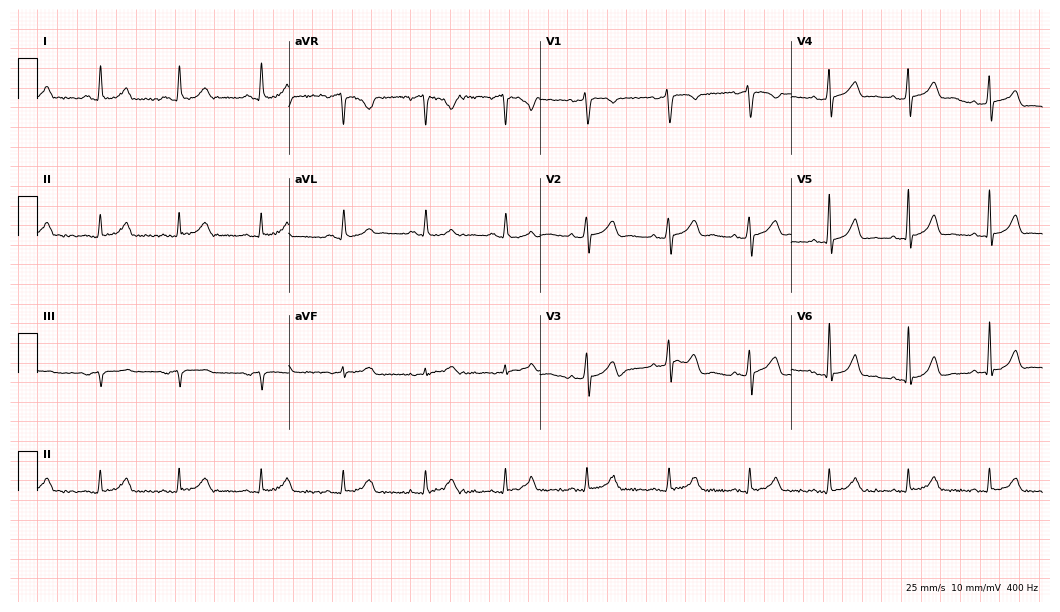
Electrocardiogram, a woman, 37 years old. Overall reading on record: normal ECG.